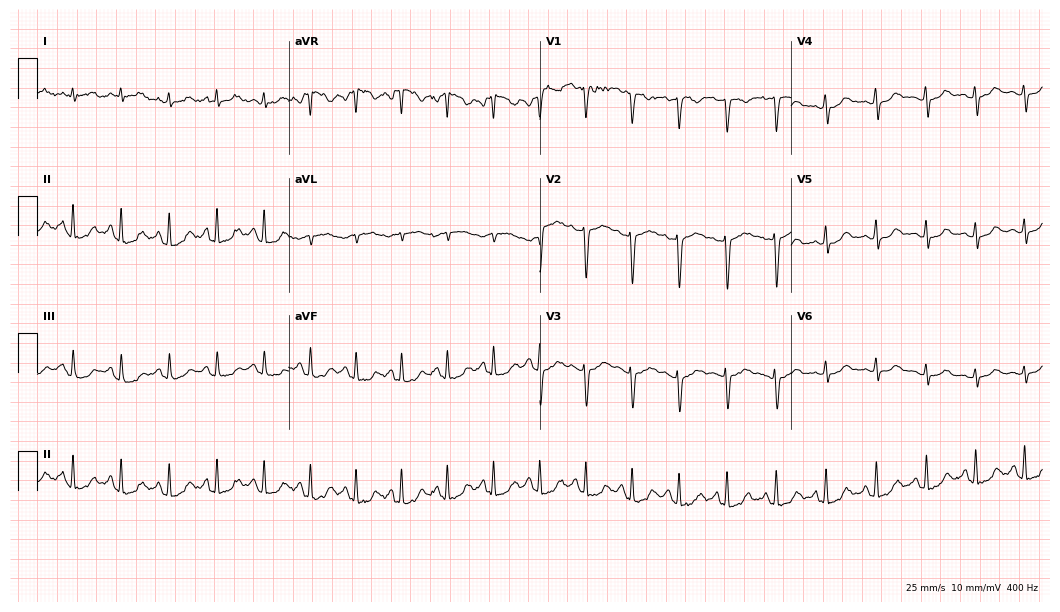
Resting 12-lead electrocardiogram. Patient: a female, 31 years old. The tracing shows sinus tachycardia (a sinus rate of 100 beats per minute or more).